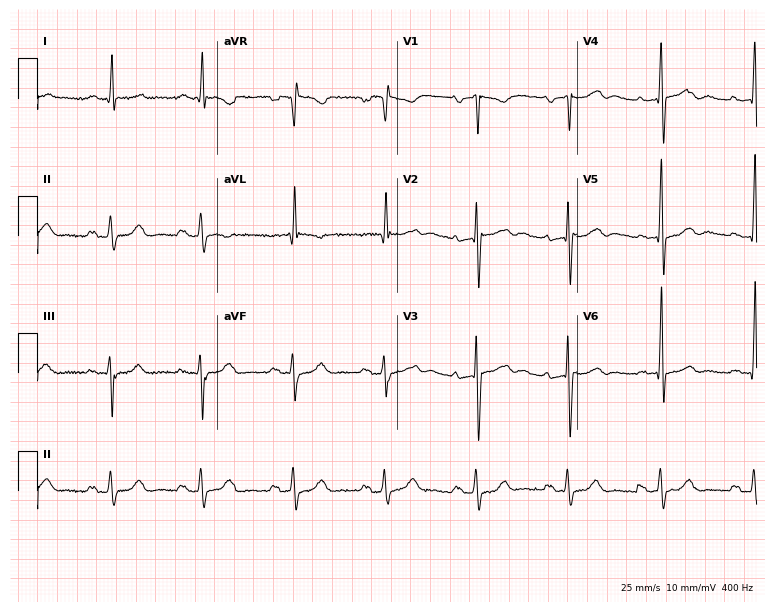
Resting 12-lead electrocardiogram (7.3-second recording at 400 Hz). Patient: a 64-year-old male. None of these six findings is recorded: first-degree AV block, right bundle branch block, left bundle branch block, sinus bradycardia, atrial fibrillation, sinus tachycardia.